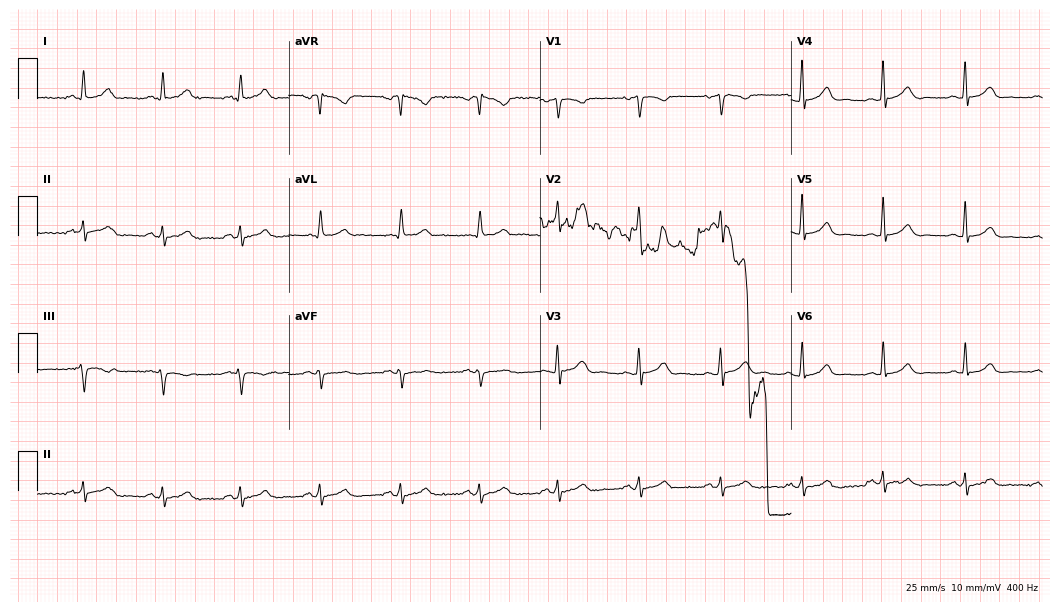
12-lead ECG from a woman, 47 years old (10.2-second recording at 400 Hz). No first-degree AV block, right bundle branch block, left bundle branch block, sinus bradycardia, atrial fibrillation or sinus tachycardia recorded for this tracing. Other findings, if any, are not listed.